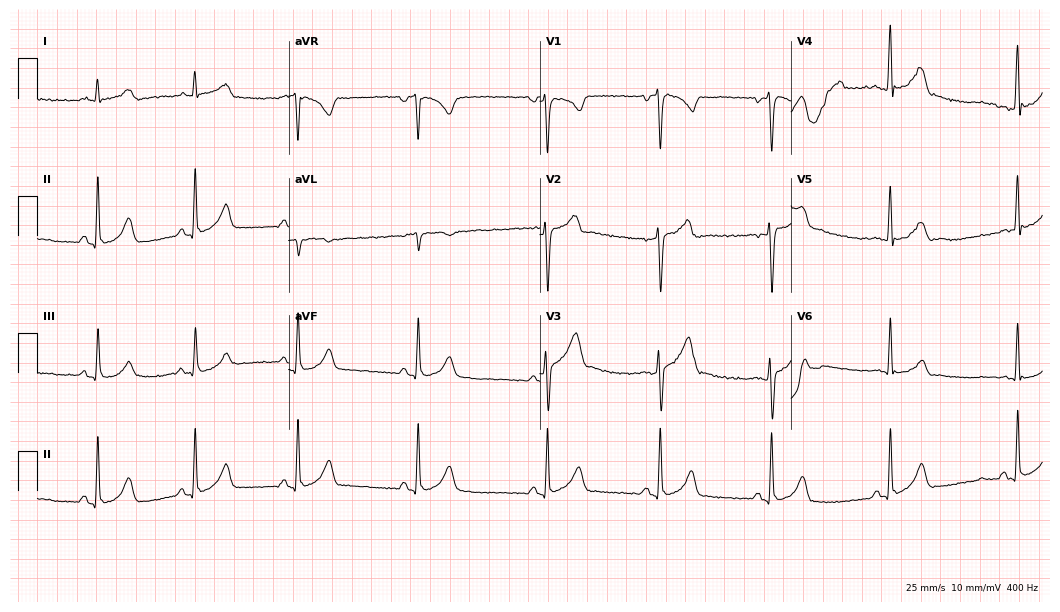
Electrocardiogram, an 18-year-old male. Of the six screened findings (first-degree AV block, right bundle branch block (RBBB), left bundle branch block (LBBB), sinus bradycardia, atrial fibrillation (AF), sinus tachycardia), none is recorded.